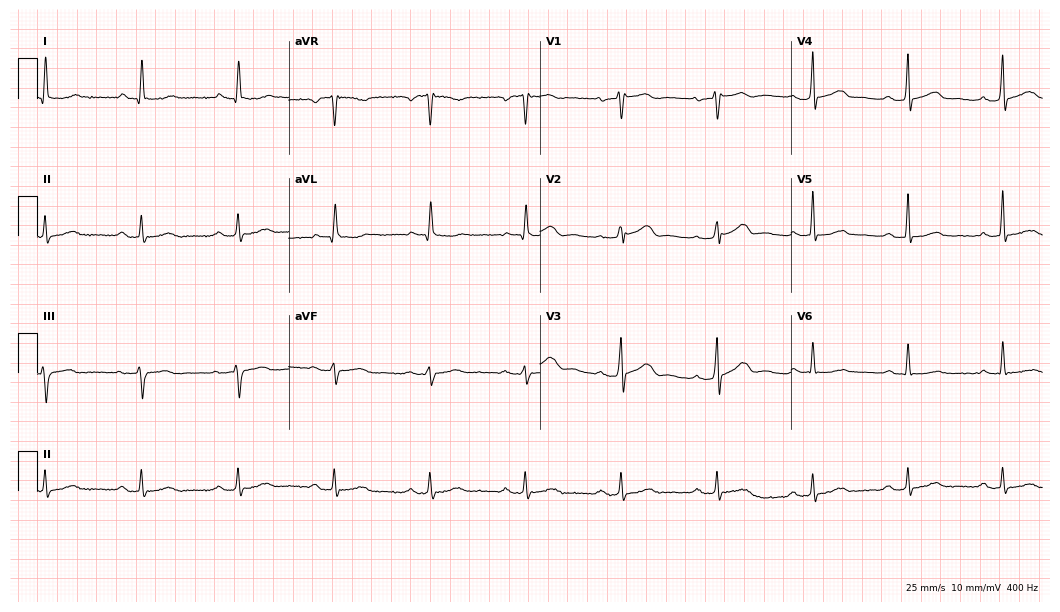
Standard 12-lead ECG recorded from a 63-year-old man (10.2-second recording at 400 Hz). The tracing shows first-degree AV block.